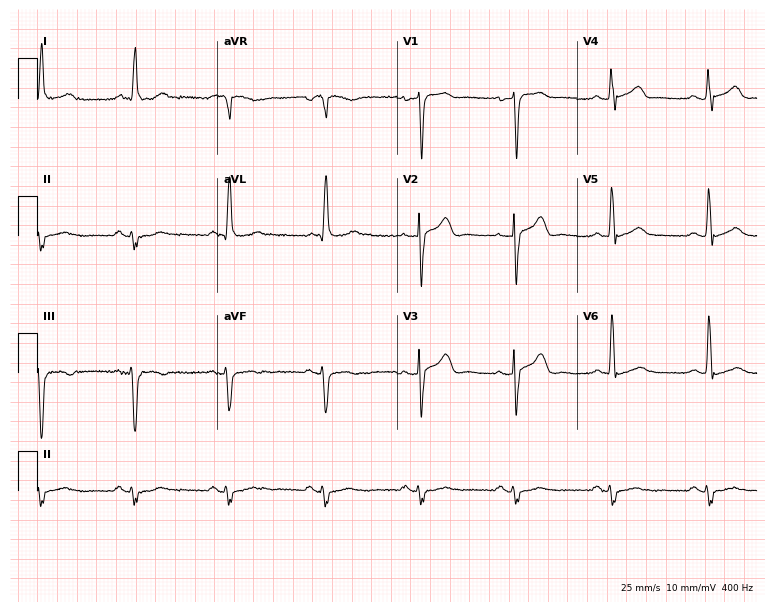
Electrocardiogram (7.3-second recording at 400 Hz), a man, 65 years old. Of the six screened findings (first-degree AV block, right bundle branch block, left bundle branch block, sinus bradycardia, atrial fibrillation, sinus tachycardia), none is recorded.